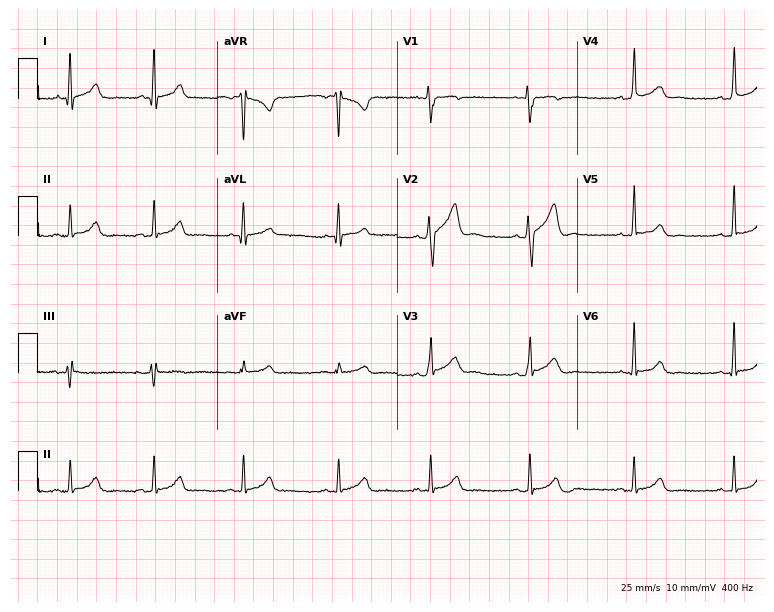
ECG (7.3-second recording at 400 Hz) — a 38-year-old male. Labelled as a normal ECG.